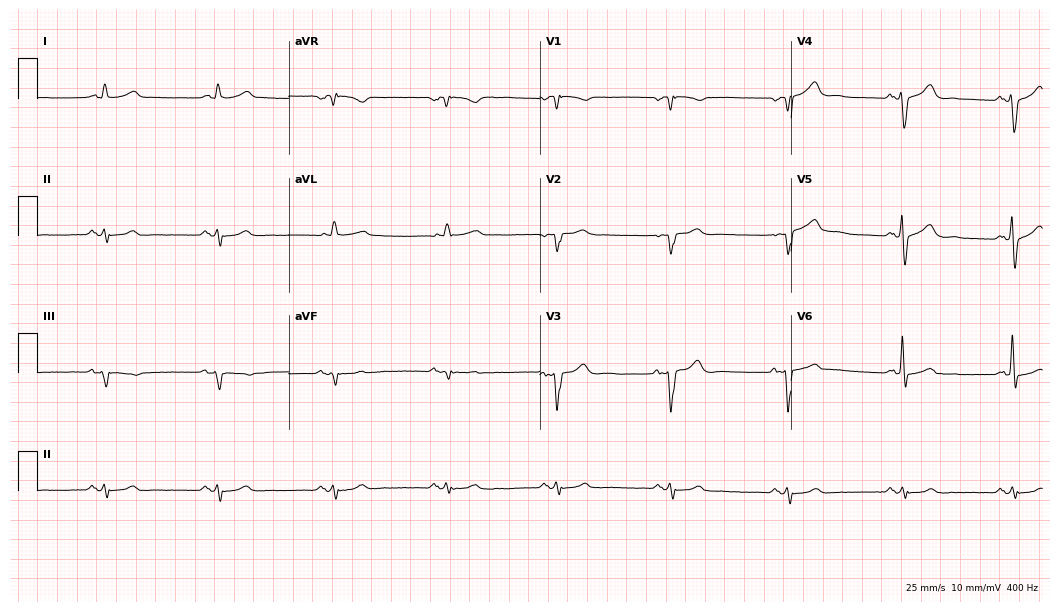
ECG (10.2-second recording at 400 Hz) — a male, 68 years old. Screened for six findings — first-degree AV block, right bundle branch block, left bundle branch block, sinus bradycardia, atrial fibrillation, sinus tachycardia — none is recorded.